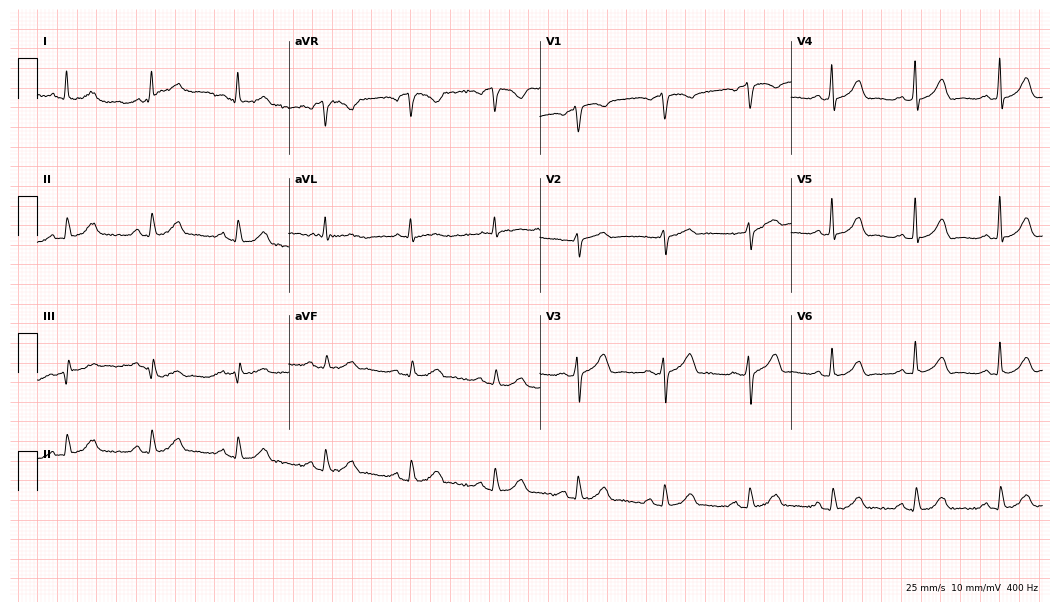
12-lead ECG from a 68-year-old female. Labelled as a normal ECG.